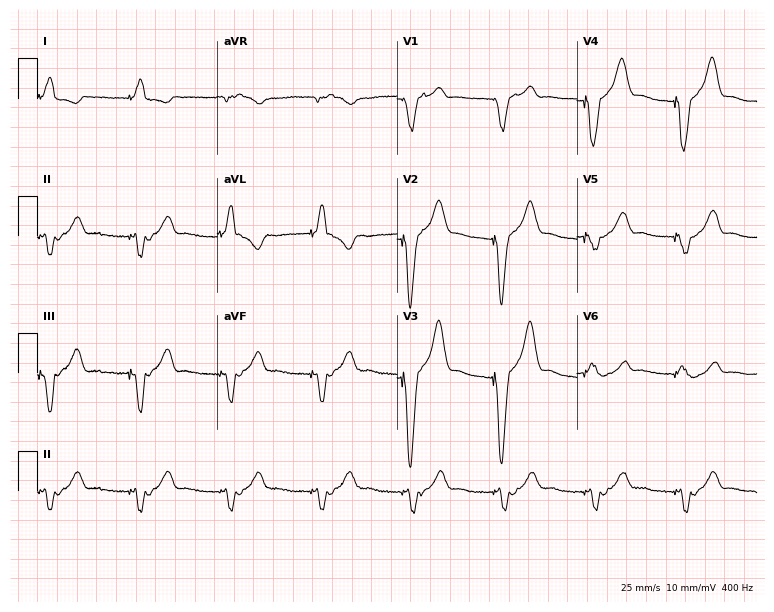
Electrocardiogram, a female patient, 77 years old. Of the six screened findings (first-degree AV block, right bundle branch block, left bundle branch block, sinus bradycardia, atrial fibrillation, sinus tachycardia), none is recorded. Only these six findings were labelled.